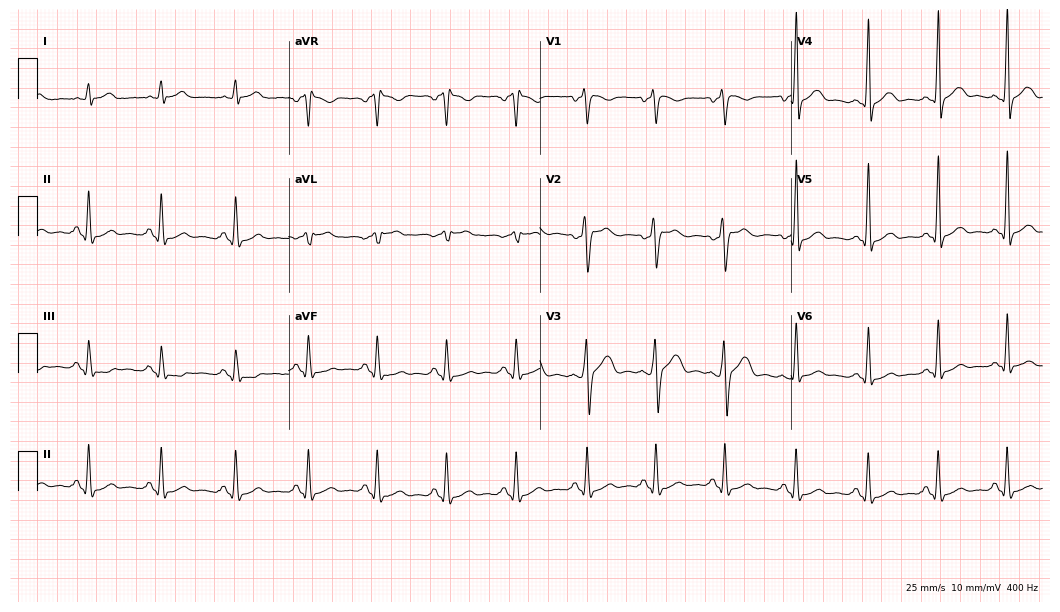
Resting 12-lead electrocardiogram. Patient: a male, 46 years old. None of these six findings is recorded: first-degree AV block, right bundle branch block, left bundle branch block, sinus bradycardia, atrial fibrillation, sinus tachycardia.